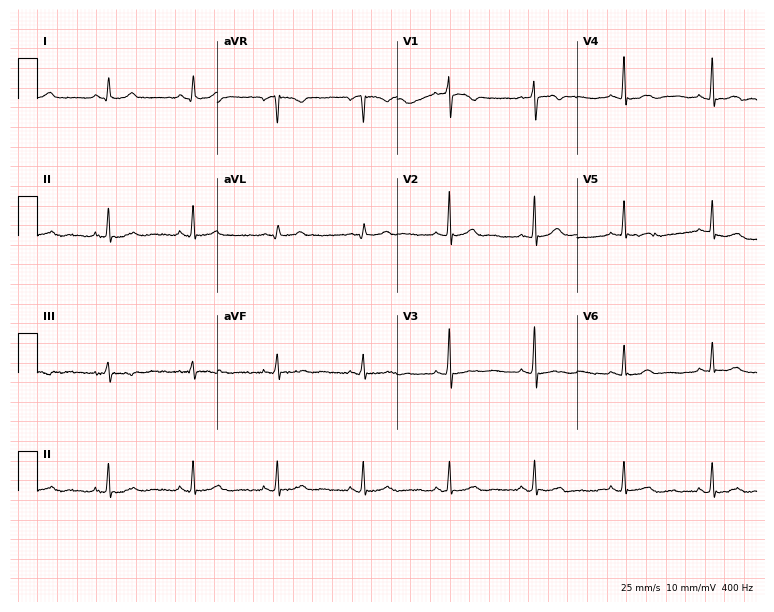
ECG — a 54-year-old woman. Screened for six findings — first-degree AV block, right bundle branch block (RBBB), left bundle branch block (LBBB), sinus bradycardia, atrial fibrillation (AF), sinus tachycardia — none is recorded. Other findings, if any, are not listed.